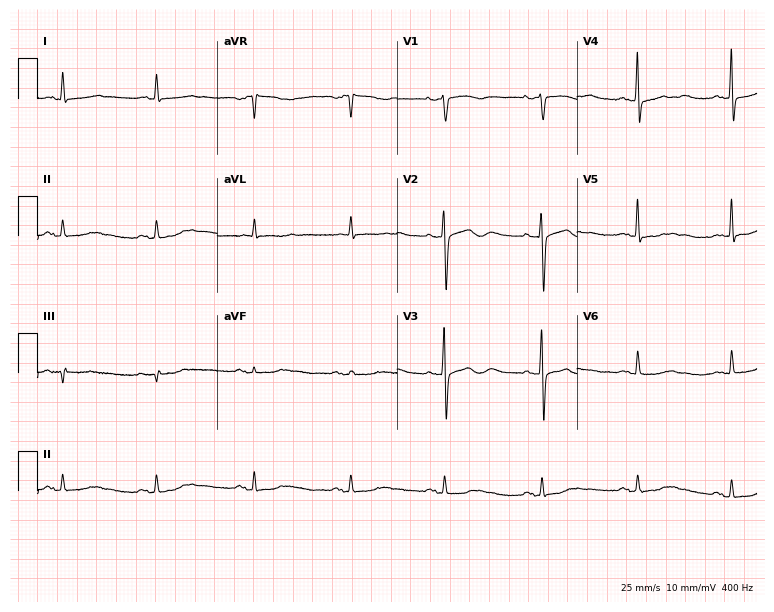
ECG — a female, 73 years old. Screened for six findings — first-degree AV block, right bundle branch block, left bundle branch block, sinus bradycardia, atrial fibrillation, sinus tachycardia — none is recorded.